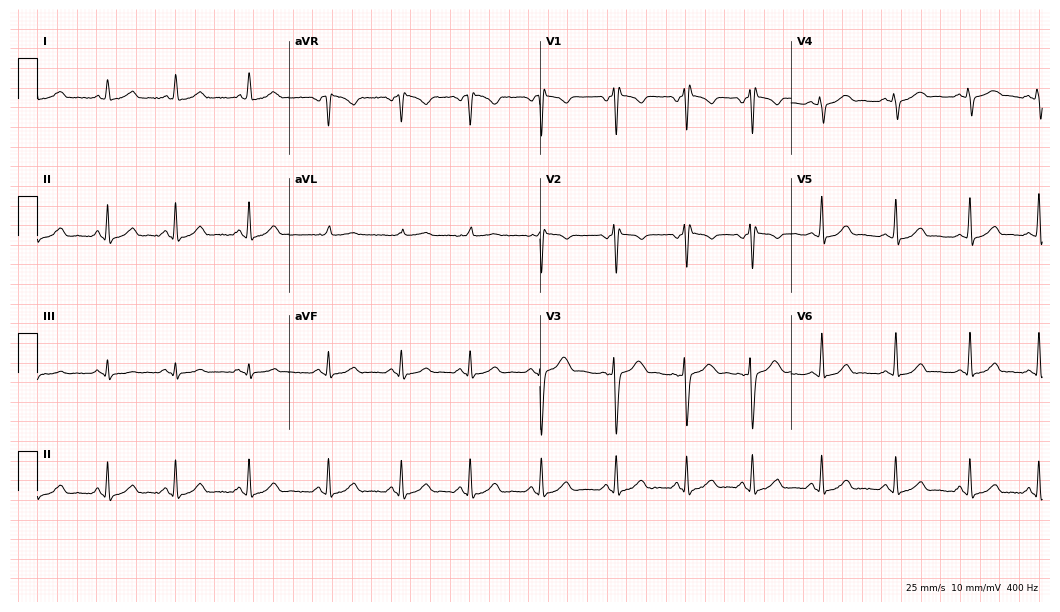
Resting 12-lead electrocardiogram (10.2-second recording at 400 Hz). Patient: a 29-year-old woman. None of these six findings is recorded: first-degree AV block, right bundle branch block, left bundle branch block, sinus bradycardia, atrial fibrillation, sinus tachycardia. Only these six findings were labelled.